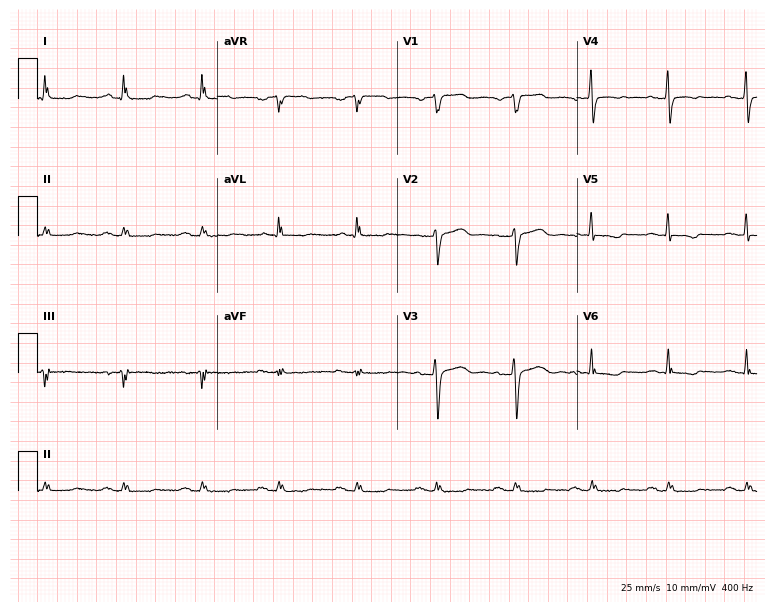
Resting 12-lead electrocardiogram (7.3-second recording at 400 Hz). Patient: a 60-year-old man. None of these six findings is recorded: first-degree AV block, right bundle branch block (RBBB), left bundle branch block (LBBB), sinus bradycardia, atrial fibrillation (AF), sinus tachycardia. Only these six findings were labelled.